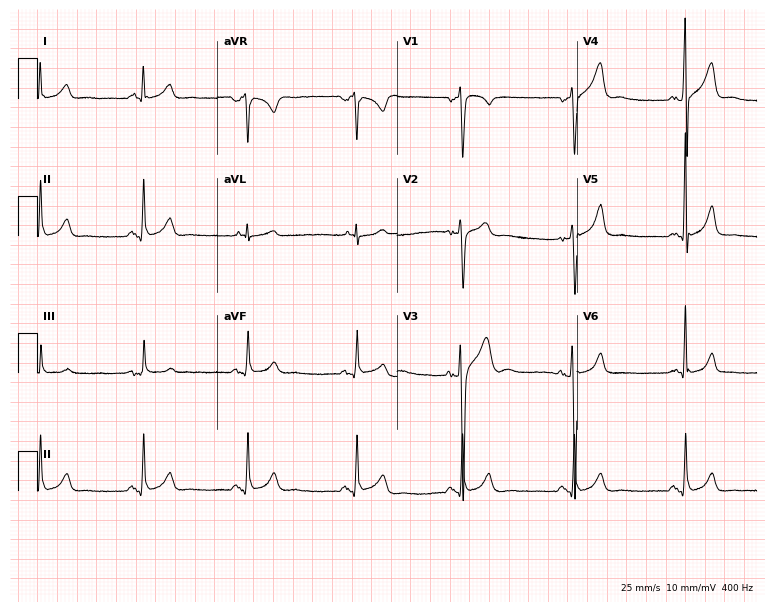
ECG (7.3-second recording at 400 Hz) — a male patient, 43 years old. Labelled as a normal ECG.